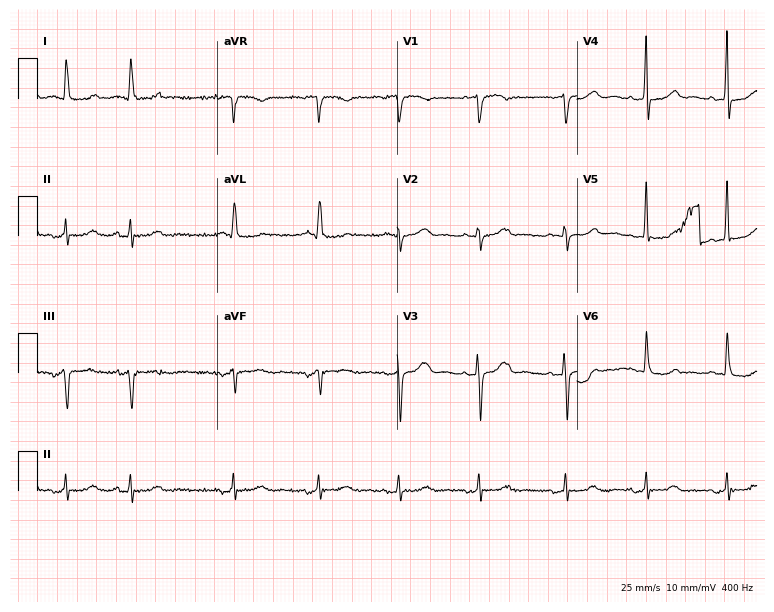
Electrocardiogram (7.3-second recording at 400 Hz), a female, 77 years old. Of the six screened findings (first-degree AV block, right bundle branch block, left bundle branch block, sinus bradycardia, atrial fibrillation, sinus tachycardia), none is recorded.